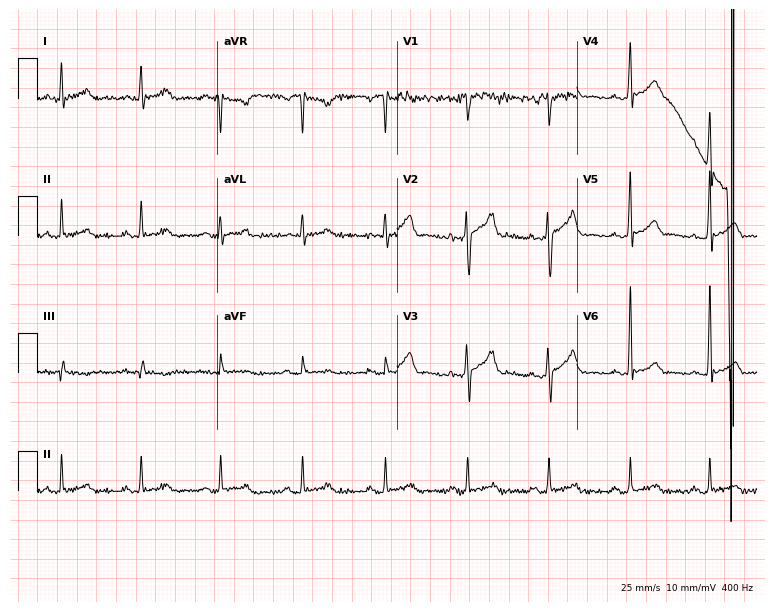
Electrocardiogram, a 33-year-old male patient. Overall reading on record: normal ECG.